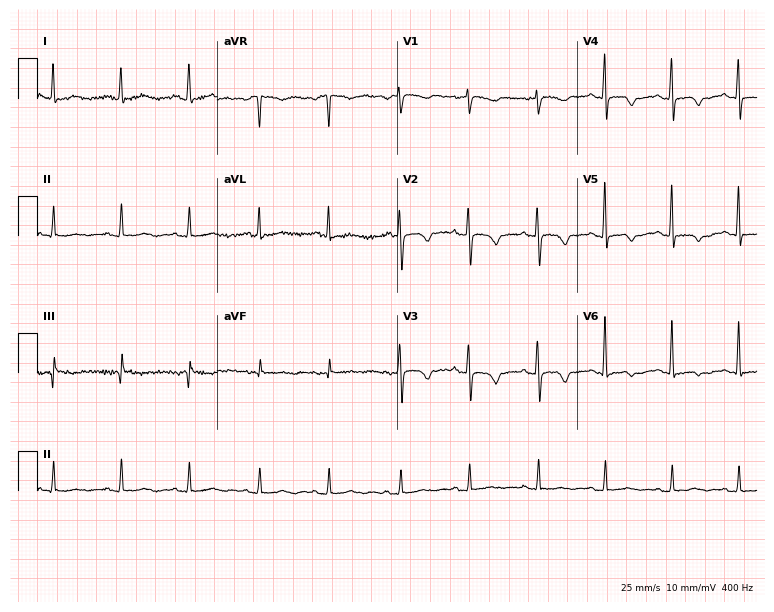
12-lead ECG from a woman, 68 years old (7.3-second recording at 400 Hz). No first-degree AV block, right bundle branch block (RBBB), left bundle branch block (LBBB), sinus bradycardia, atrial fibrillation (AF) or sinus tachycardia recorded for this tracing. Only these six findings were labelled.